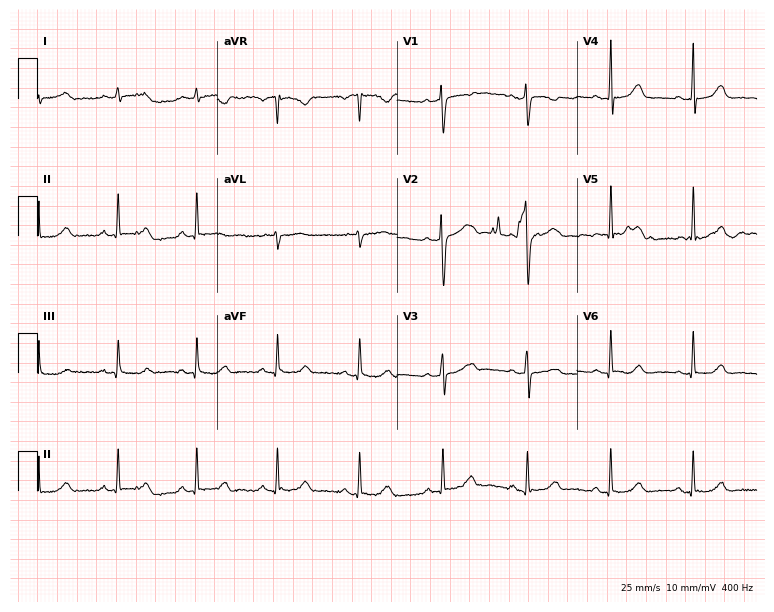
Resting 12-lead electrocardiogram (7.3-second recording at 400 Hz). Patient: a woman, 39 years old. None of these six findings is recorded: first-degree AV block, right bundle branch block, left bundle branch block, sinus bradycardia, atrial fibrillation, sinus tachycardia. Findings outside these six are not listed.